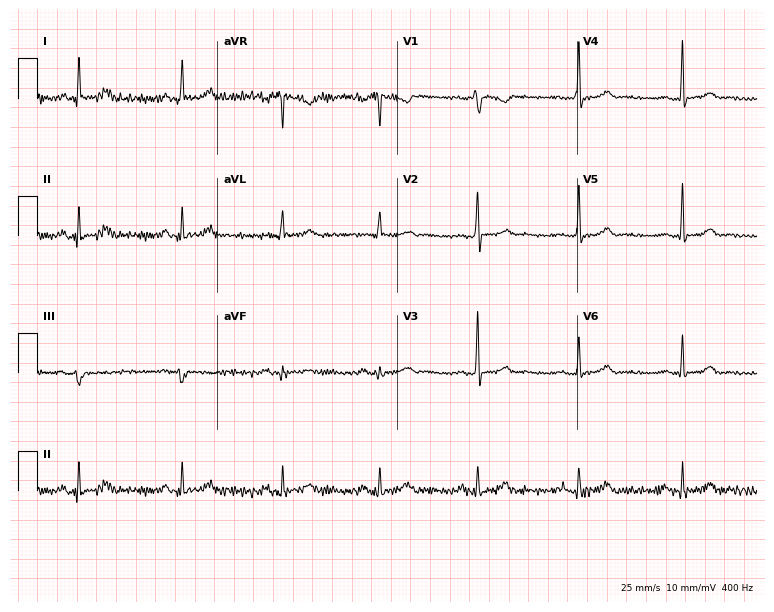
ECG — a 49-year-old woman. Screened for six findings — first-degree AV block, right bundle branch block, left bundle branch block, sinus bradycardia, atrial fibrillation, sinus tachycardia — none is recorded. Other findings, if any, are not listed.